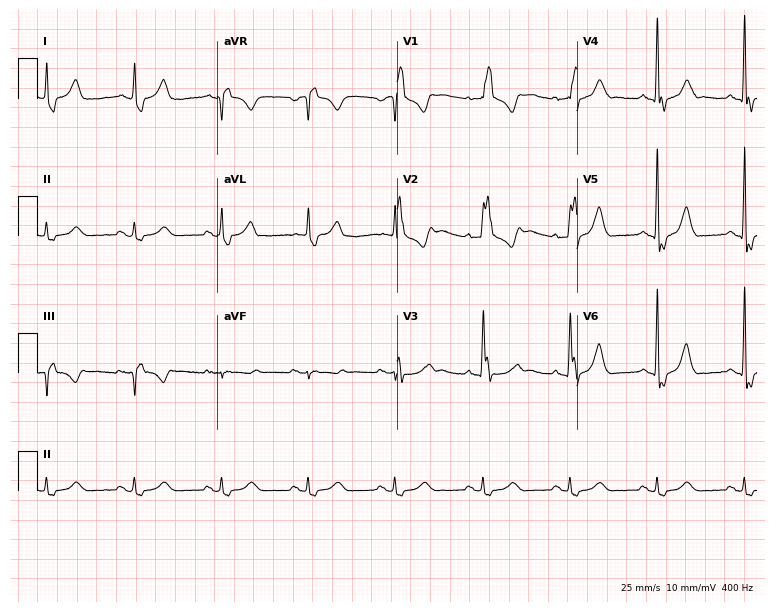
12-lead ECG (7.3-second recording at 400 Hz) from a 73-year-old man. Findings include right bundle branch block.